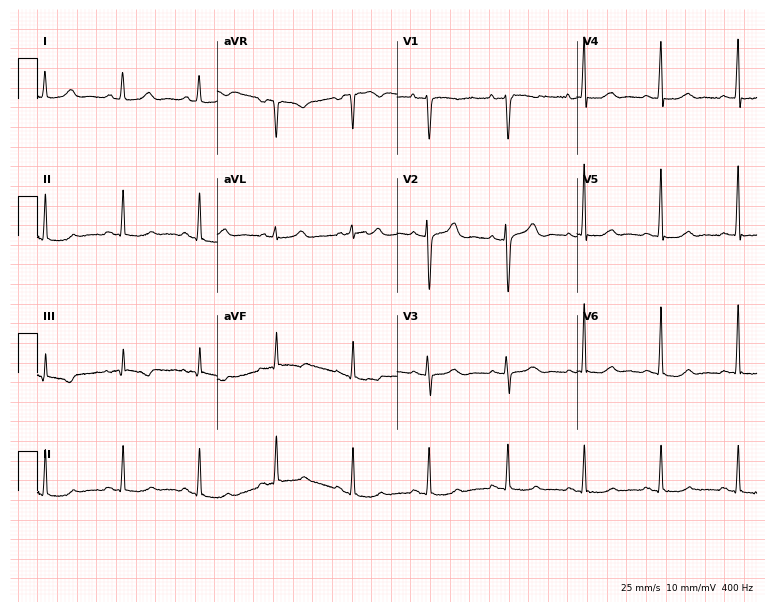
Standard 12-lead ECG recorded from a woman, 38 years old. Read as a normal ECG.